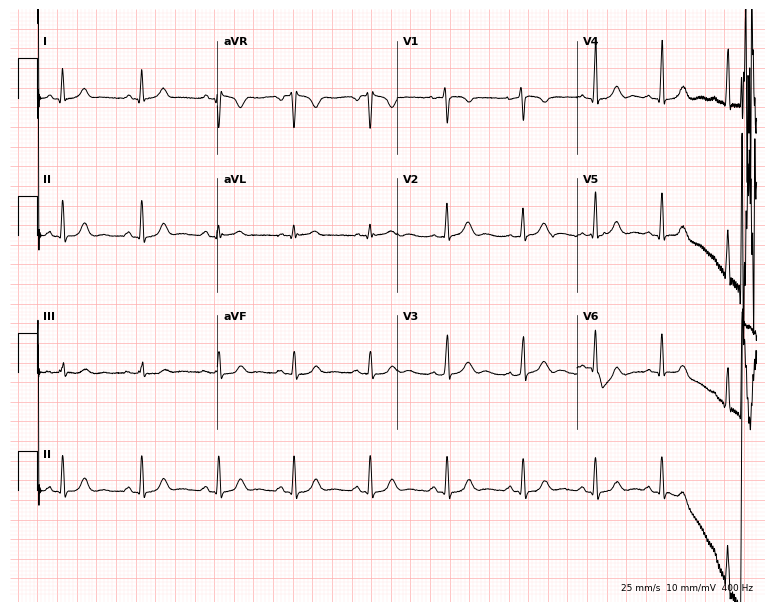
Standard 12-lead ECG recorded from a 23-year-old female patient. Read as a normal ECG.